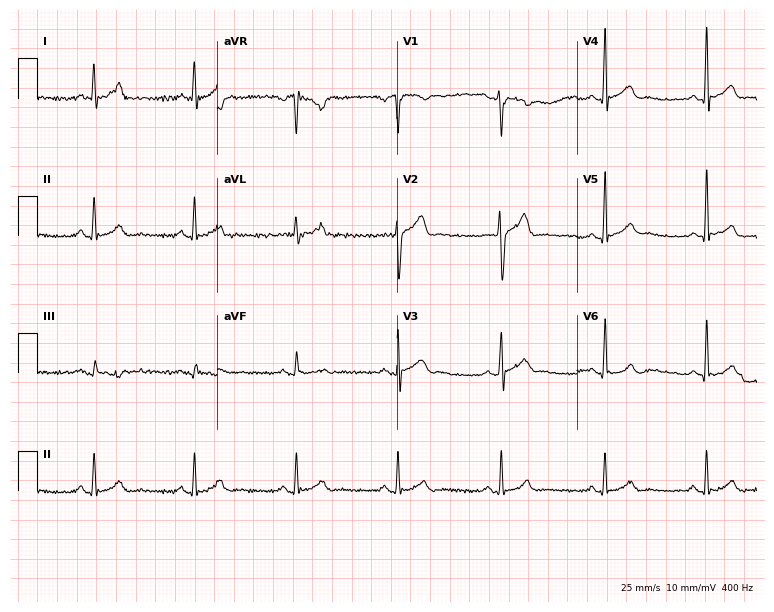
12-lead ECG (7.3-second recording at 400 Hz) from a male patient, 31 years old. Labelled as a normal ECG.